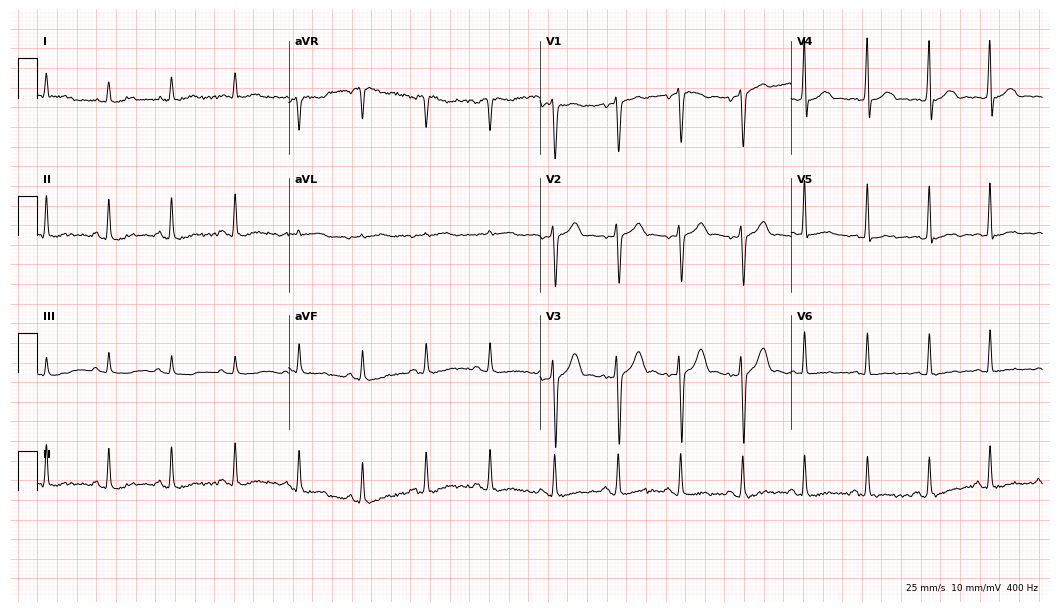
Resting 12-lead electrocardiogram (10.2-second recording at 400 Hz). Patient: a male, 39 years old. Read as a normal ECG.